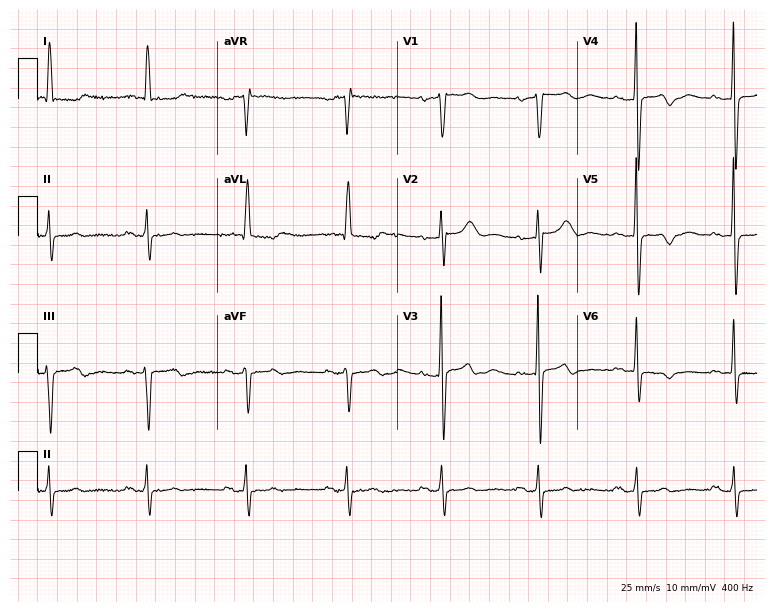
12-lead ECG from a woman, 84 years old (7.3-second recording at 400 Hz). No first-degree AV block, right bundle branch block (RBBB), left bundle branch block (LBBB), sinus bradycardia, atrial fibrillation (AF) or sinus tachycardia recorded for this tracing. Other findings, if any, are not listed.